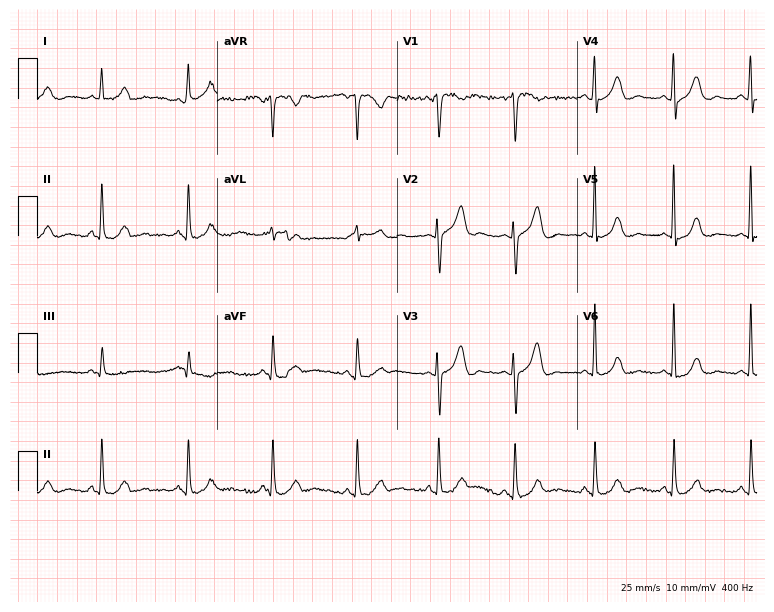
Resting 12-lead electrocardiogram. Patient: a 50-year-old female. Read as a normal ECG.